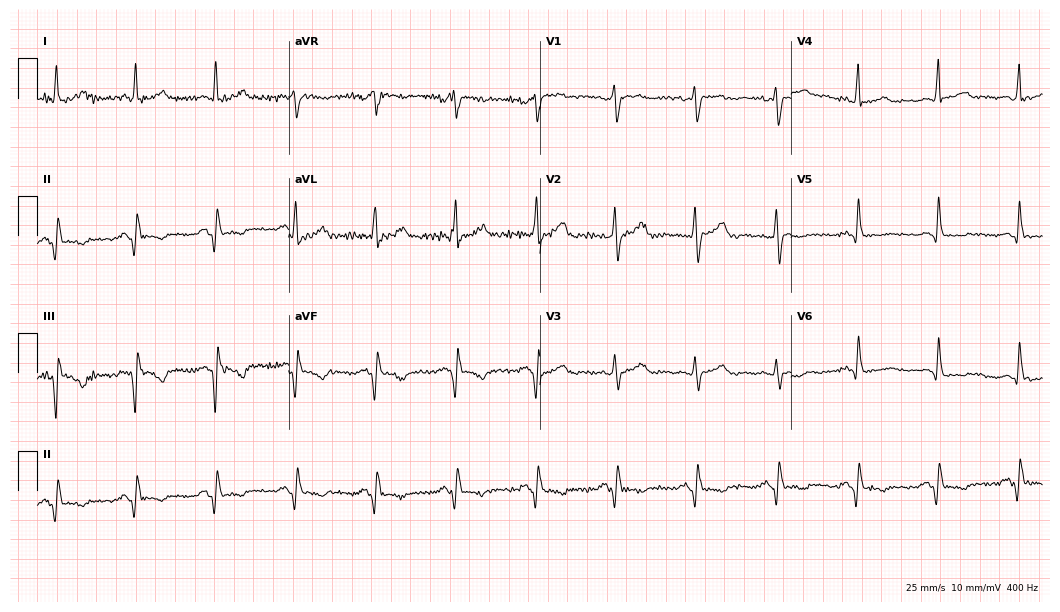
Electrocardiogram, a 76-year-old female. Of the six screened findings (first-degree AV block, right bundle branch block (RBBB), left bundle branch block (LBBB), sinus bradycardia, atrial fibrillation (AF), sinus tachycardia), none is recorded. Findings outside these six are not listed.